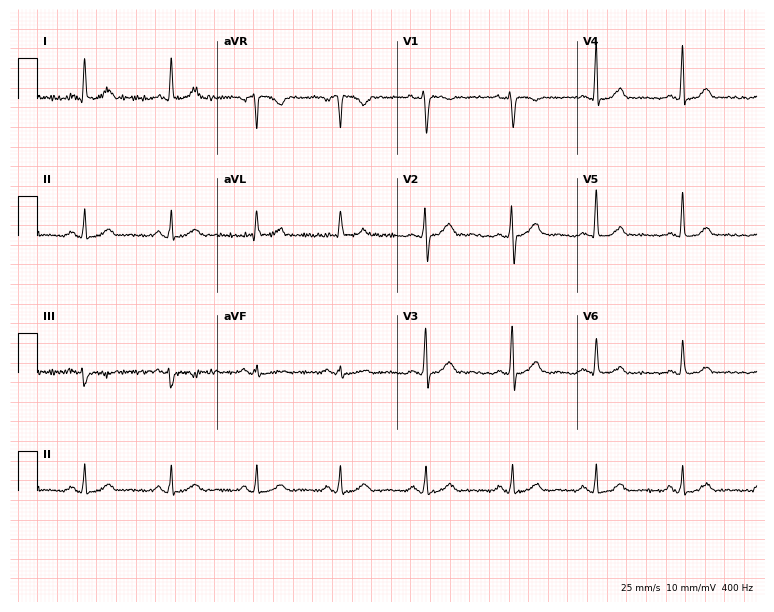
12-lead ECG from a 59-year-old female patient. No first-degree AV block, right bundle branch block, left bundle branch block, sinus bradycardia, atrial fibrillation or sinus tachycardia recorded for this tracing.